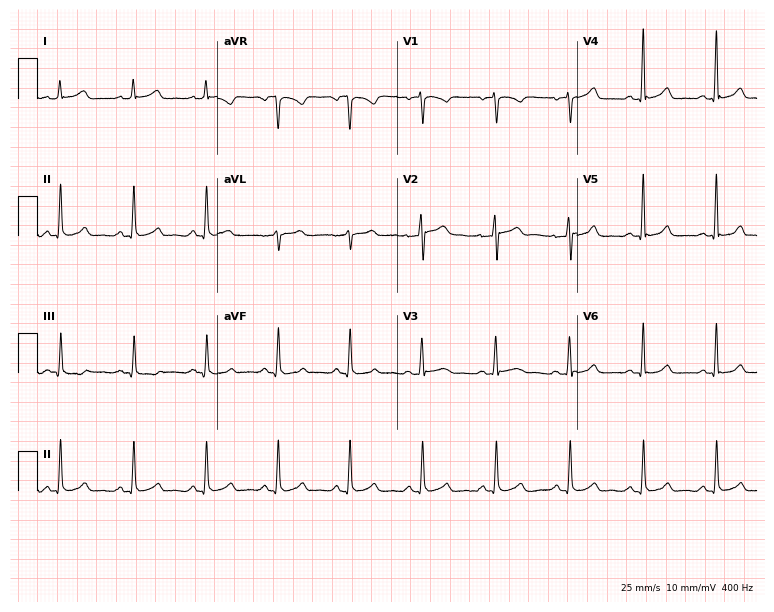
12-lead ECG (7.3-second recording at 400 Hz) from a 44-year-old female patient. Labelled as a normal ECG.